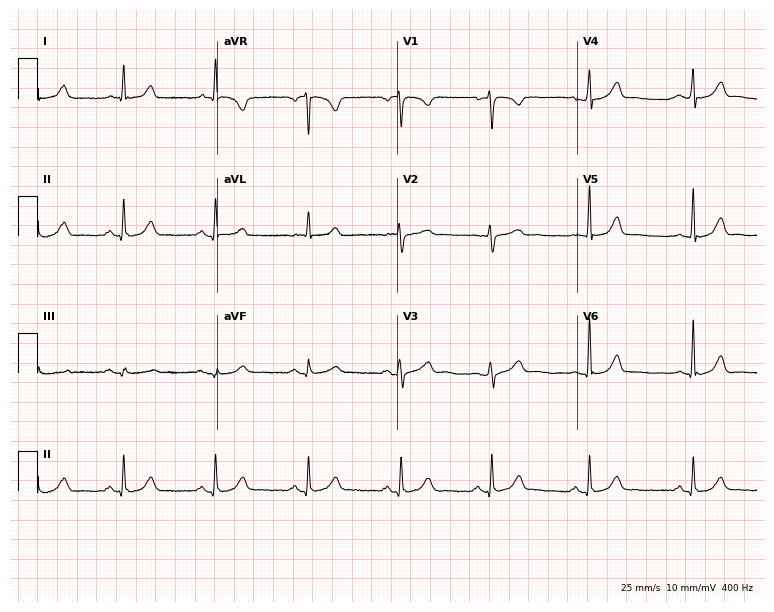
12-lead ECG from a 43-year-old female patient. Screened for six findings — first-degree AV block, right bundle branch block, left bundle branch block, sinus bradycardia, atrial fibrillation, sinus tachycardia — none is recorded.